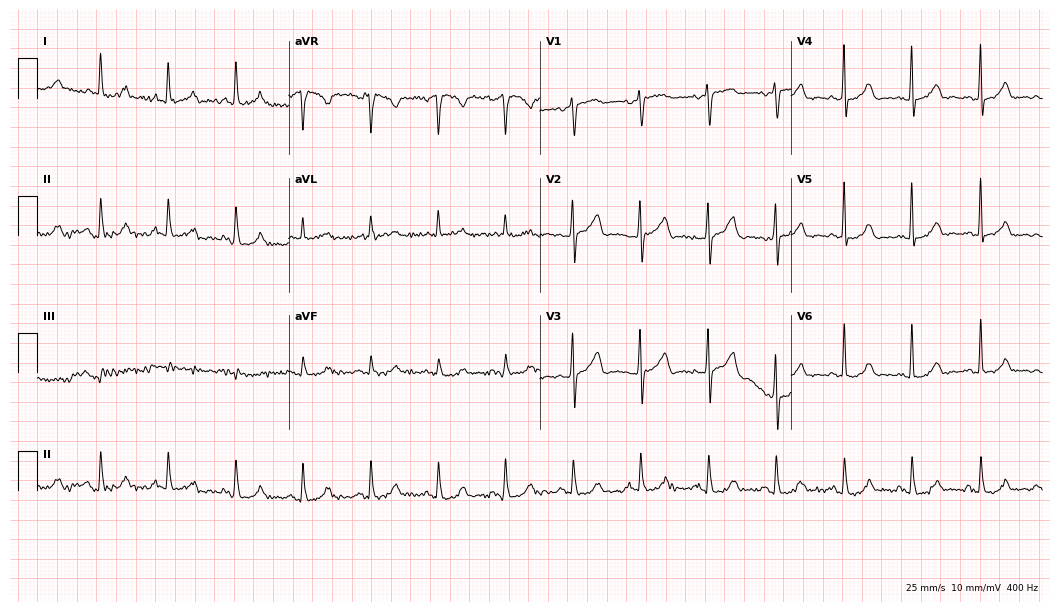
Resting 12-lead electrocardiogram. Patient: a 79-year-old female. None of these six findings is recorded: first-degree AV block, right bundle branch block, left bundle branch block, sinus bradycardia, atrial fibrillation, sinus tachycardia. Only these six findings were labelled.